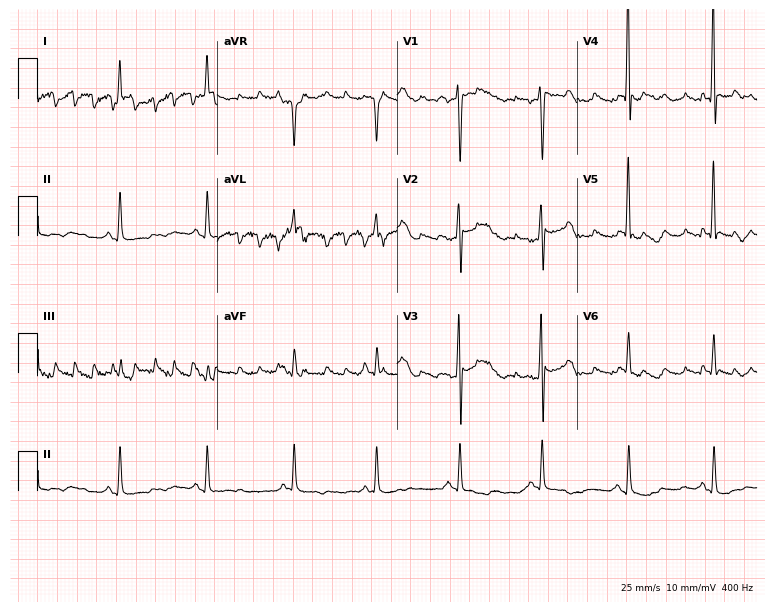
Standard 12-lead ECG recorded from a 64-year-old male. None of these six findings is recorded: first-degree AV block, right bundle branch block, left bundle branch block, sinus bradycardia, atrial fibrillation, sinus tachycardia. Other findings, if any, are not listed.